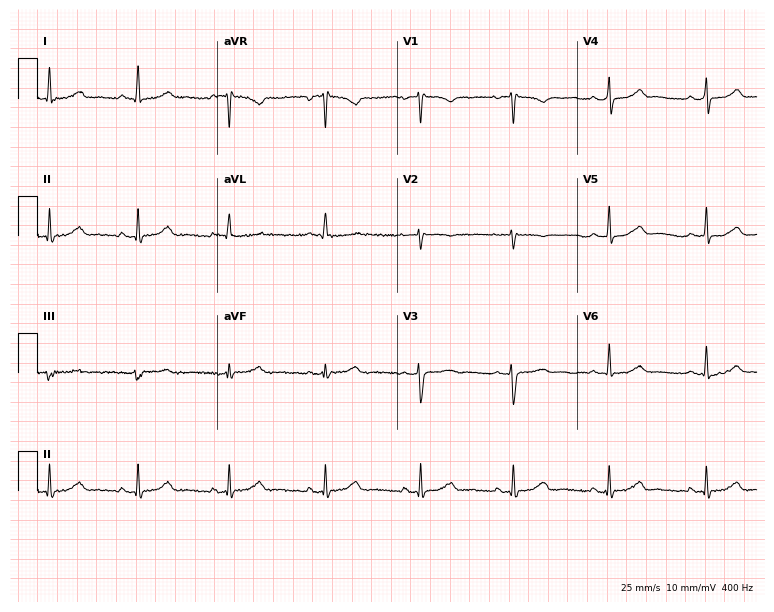
ECG (7.3-second recording at 400 Hz) — a woman, 51 years old. Screened for six findings — first-degree AV block, right bundle branch block, left bundle branch block, sinus bradycardia, atrial fibrillation, sinus tachycardia — none is recorded.